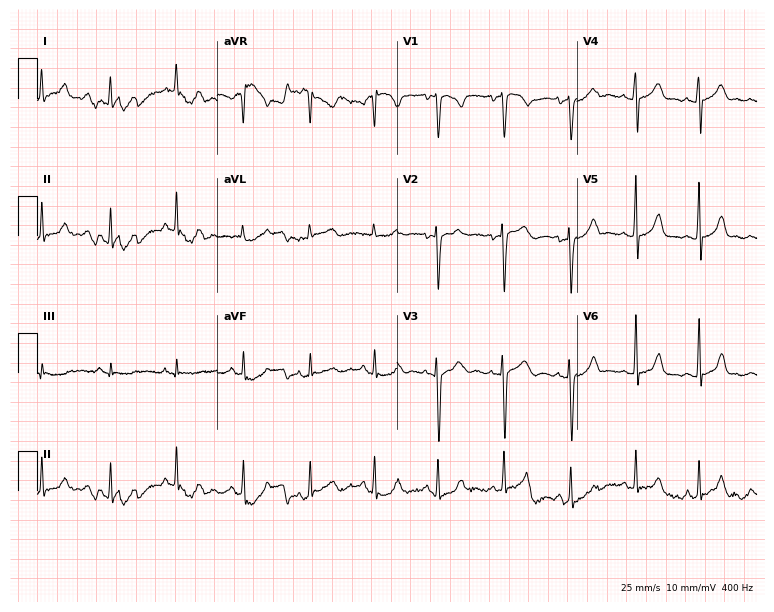
Electrocardiogram (7.3-second recording at 400 Hz), a 22-year-old woman. Of the six screened findings (first-degree AV block, right bundle branch block, left bundle branch block, sinus bradycardia, atrial fibrillation, sinus tachycardia), none is recorded. Only these six findings were labelled.